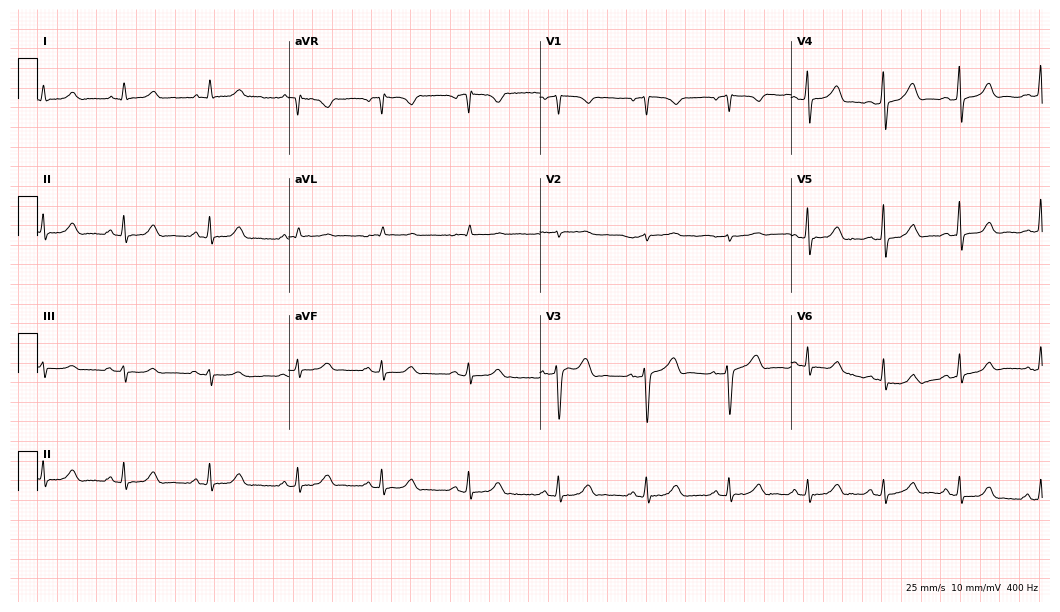
12-lead ECG from a 47-year-old female. Recorded interpretation: within normal limits.